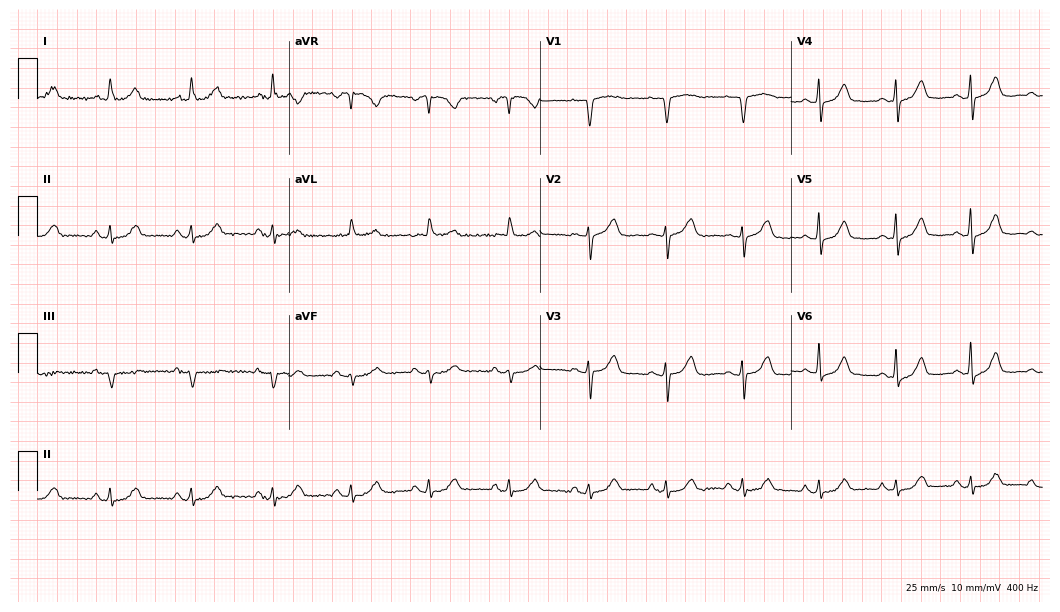
Electrocardiogram, a 72-year-old female patient. Overall reading on record: normal ECG.